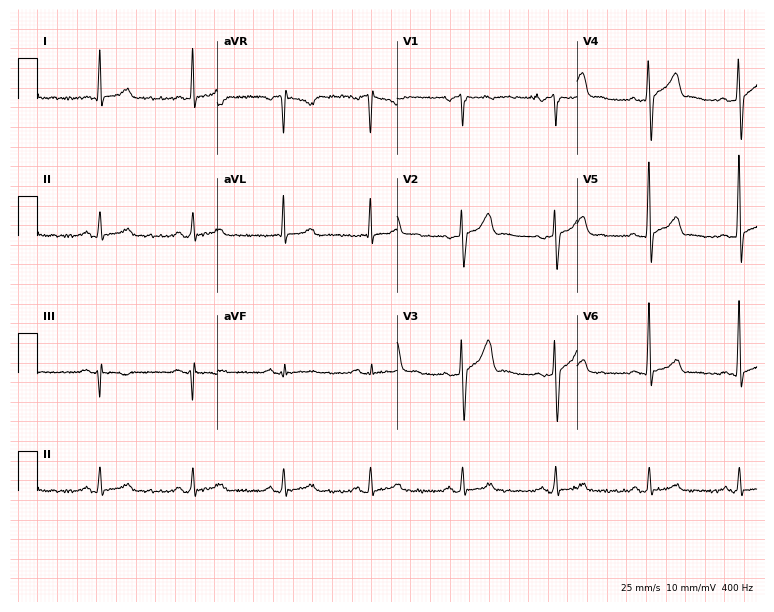
12-lead ECG (7.3-second recording at 400 Hz) from a 46-year-old male patient. Screened for six findings — first-degree AV block, right bundle branch block, left bundle branch block, sinus bradycardia, atrial fibrillation, sinus tachycardia — none is recorded. Findings outside these six are not listed.